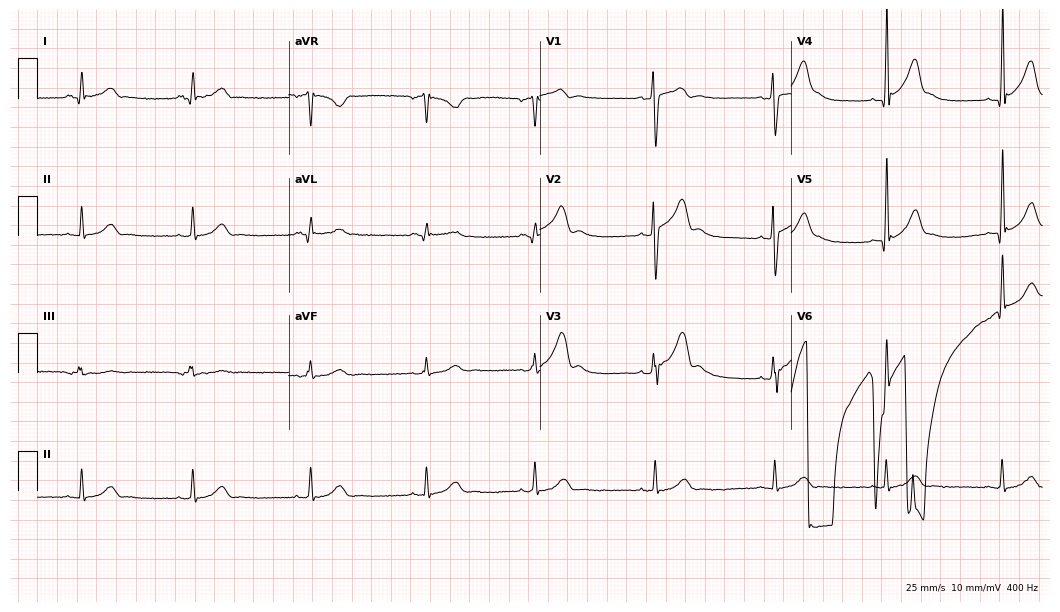
ECG (10.2-second recording at 400 Hz) — a male patient, 23 years old. Screened for six findings — first-degree AV block, right bundle branch block (RBBB), left bundle branch block (LBBB), sinus bradycardia, atrial fibrillation (AF), sinus tachycardia — none is recorded. Findings outside these six are not listed.